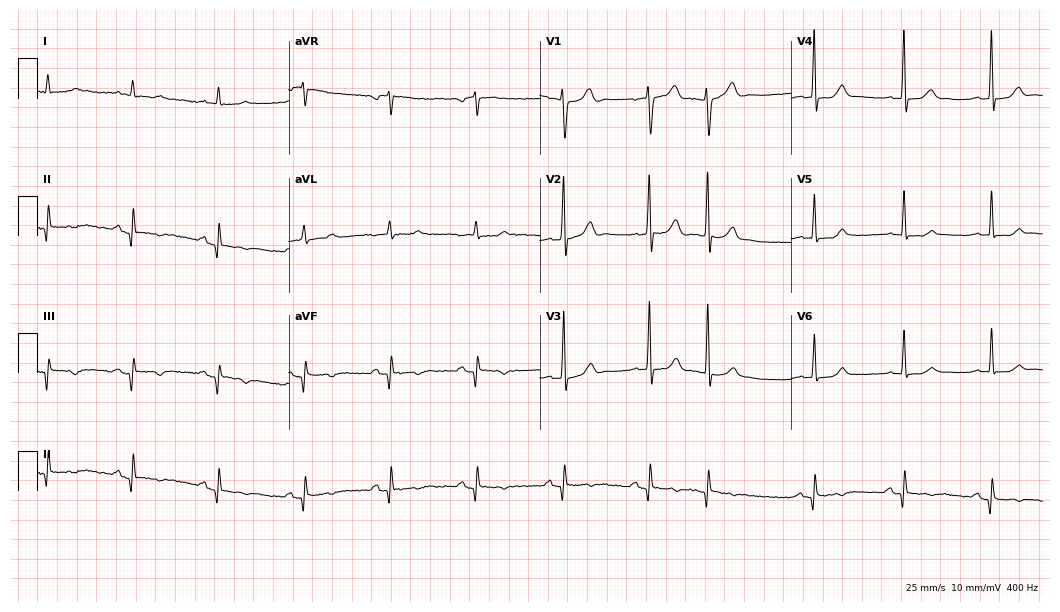
Standard 12-lead ECG recorded from a 72-year-old male patient (10.2-second recording at 400 Hz). None of these six findings is recorded: first-degree AV block, right bundle branch block, left bundle branch block, sinus bradycardia, atrial fibrillation, sinus tachycardia. Findings outside these six are not listed.